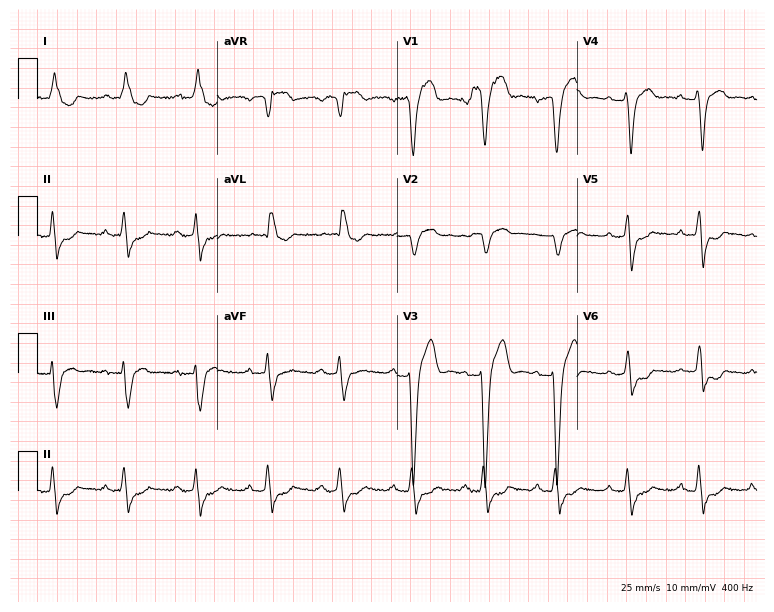
Resting 12-lead electrocardiogram. Patient: a 76-year-old male. The tracing shows left bundle branch block.